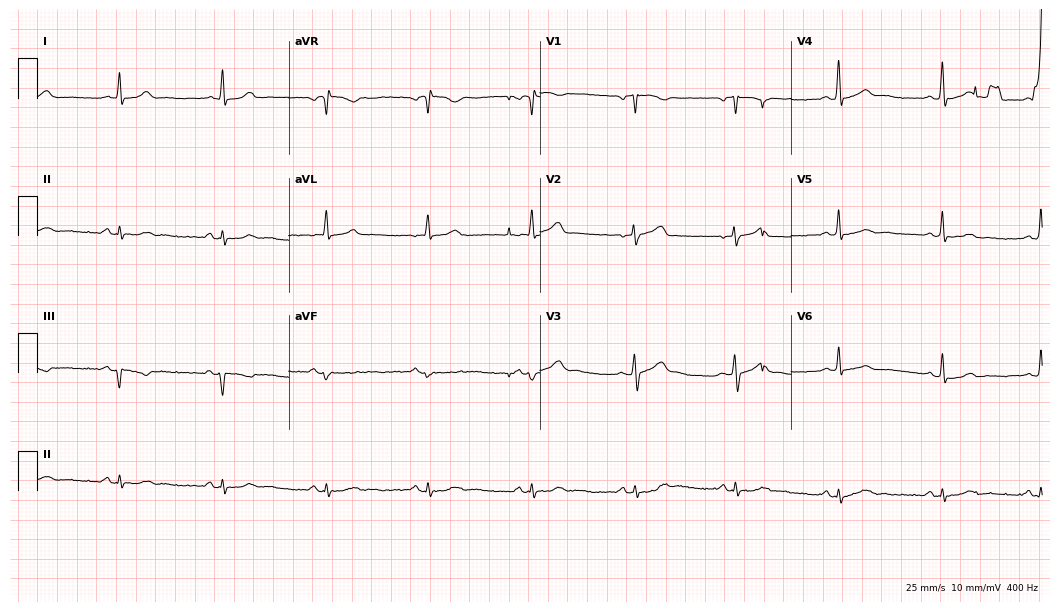
Standard 12-lead ECG recorded from a 52-year-old man (10.2-second recording at 400 Hz). None of these six findings is recorded: first-degree AV block, right bundle branch block, left bundle branch block, sinus bradycardia, atrial fibrillation, sinus tachycardia.